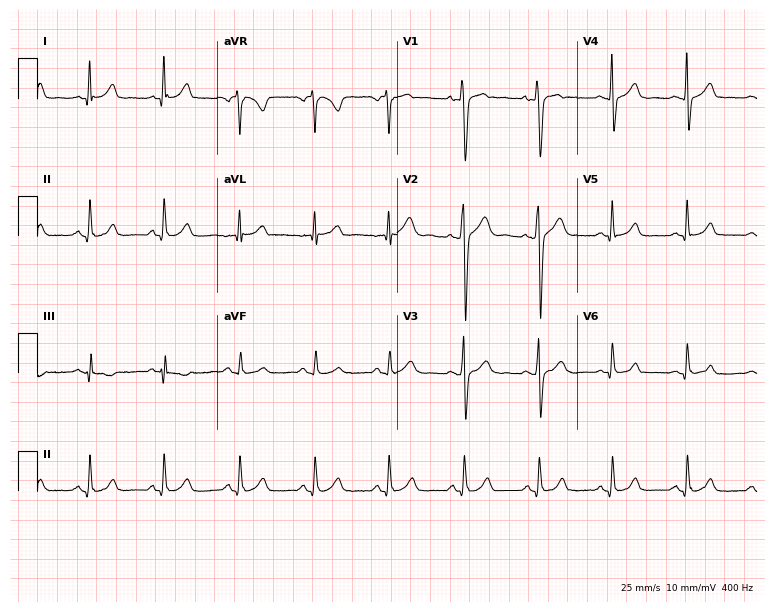
12-lead ECG from a 32-year-old male patient. Labelled as a normal ECG.